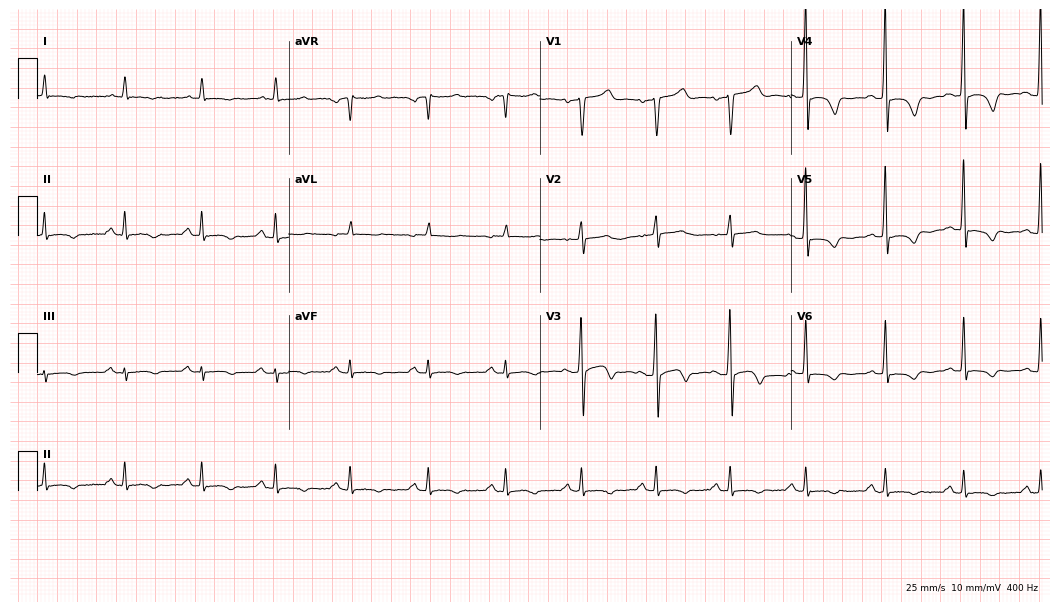
ECG — a male patient, 69 years old. Screened for six findings — first-degree AV block, right bundle branch block (RBBB), left bundle branch block (LBBB), sinus bradycardia, atrial fibrillation (AF), sinus tachycardia — none is recorded. Findings outside these six are not listed.